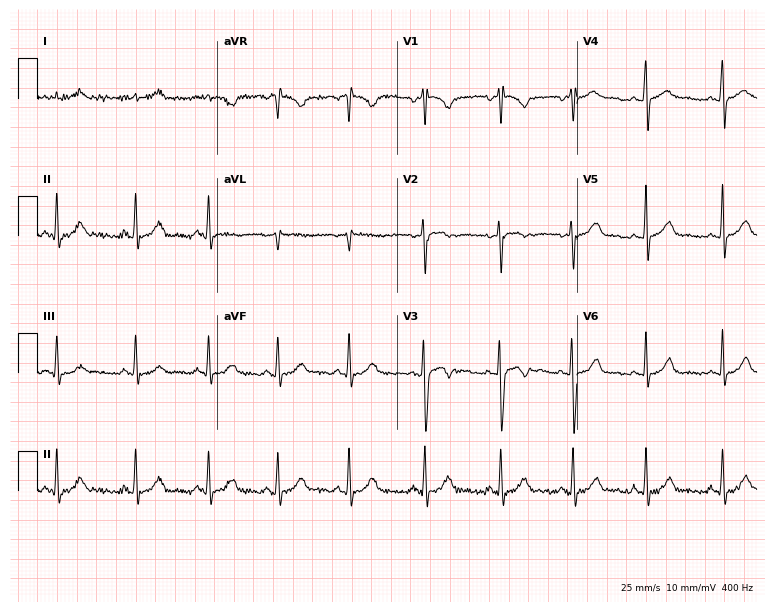
Resting 12-lead electrocardiogram (7.3-second recording at 400 Hz). Patient: a female, 28 years old. None of these six findings is recorded: first-degree AV block, right bundle branch block, left bundle branch block, sinus bradycardia, atrial fibrillation, sinus tachycardia. Findings outside these six are not listed.